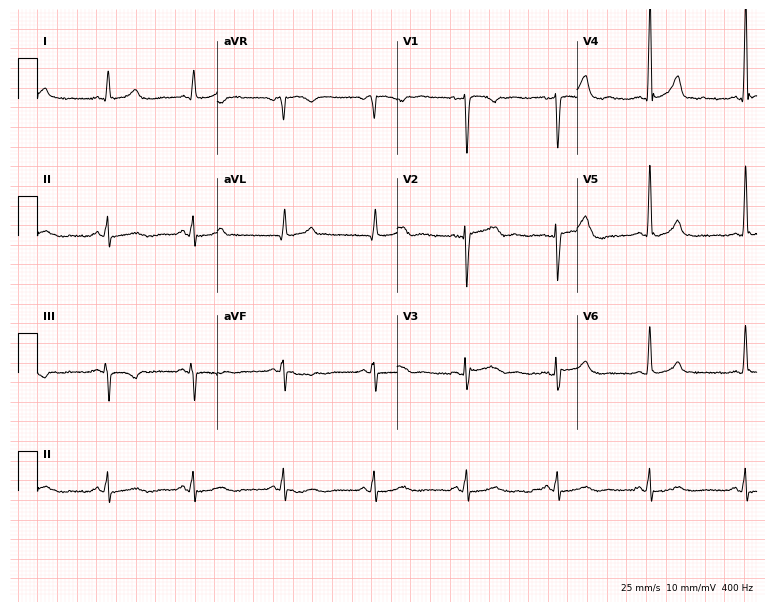
12-lead ECG from a male, 50 years old (7.3-second recording at 400 Hz). No first-degree AV block, right bundle branch block, left bundle branch block, sinus bradycardia, atrial fibrillation or sinus tachycardia recorded for this tracing. Findings outside these six are not listed.